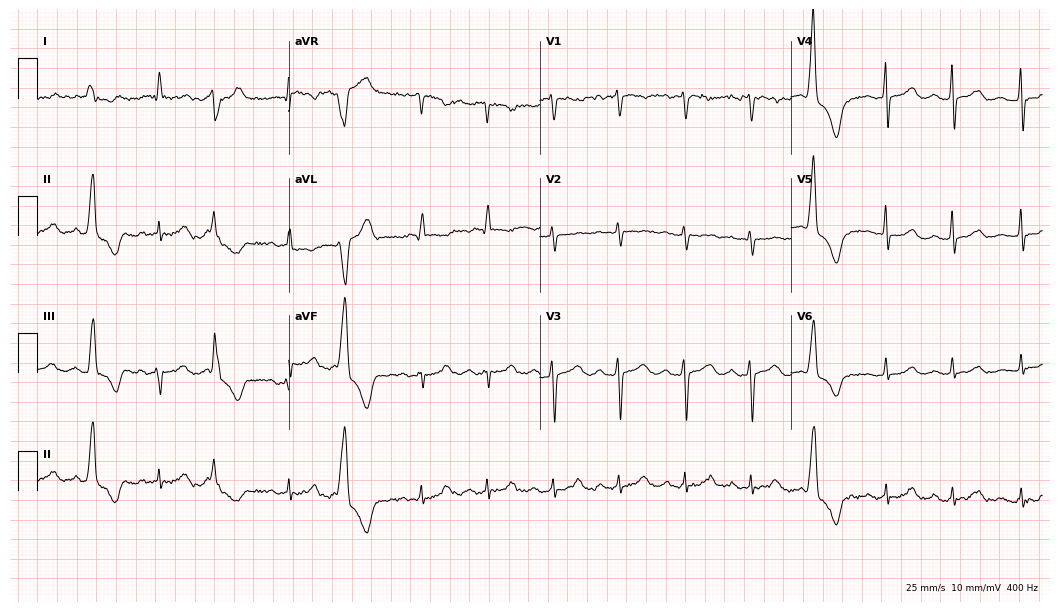
12-lead ECG from a female, 72 years old. Screened for six findings — first-degree AV block, right bundle branch block, left bundle branch block, sinus bradycardia, atrial fibrillation, sinus tachycardia — none is recorded.